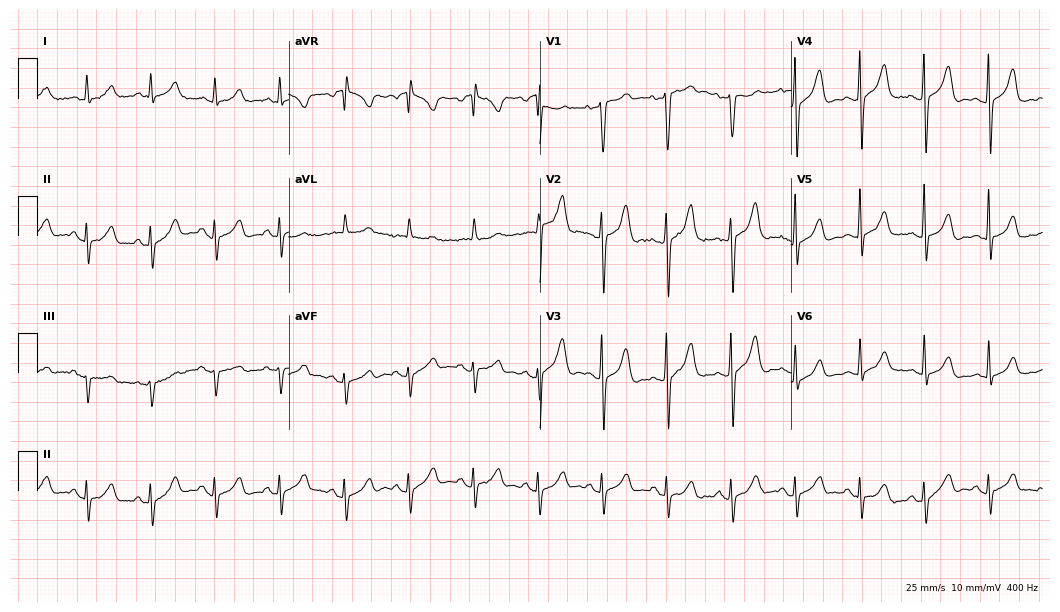
12-lead ECG from an 80-year-old female patient. Recorded interpretation: within normal limits.